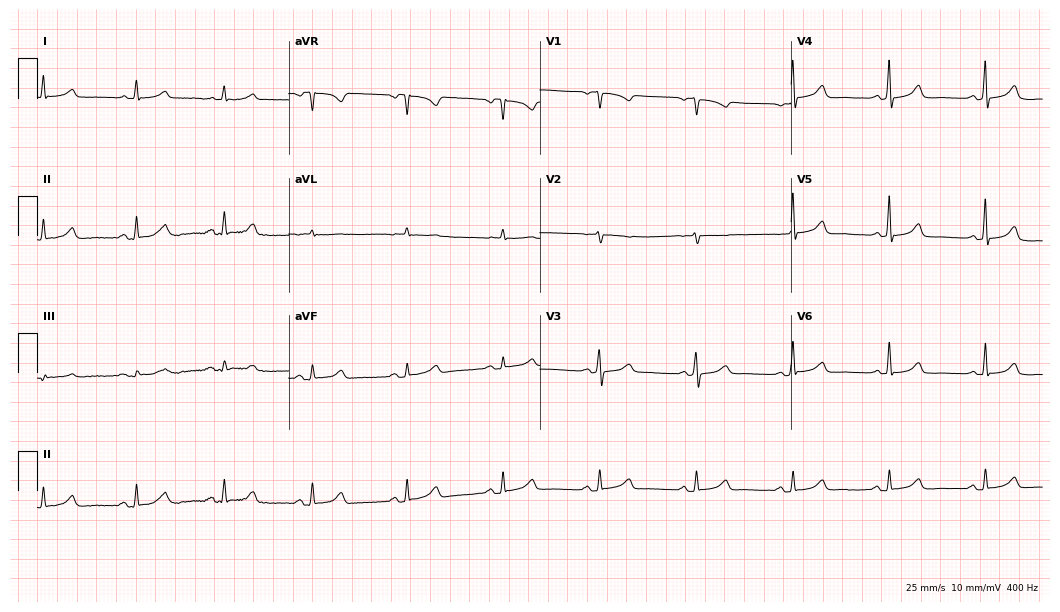
12-lead ECG (10.2-second recording at 400 Hz) from a woman, 70 years old. Labelled as a normal ECG.